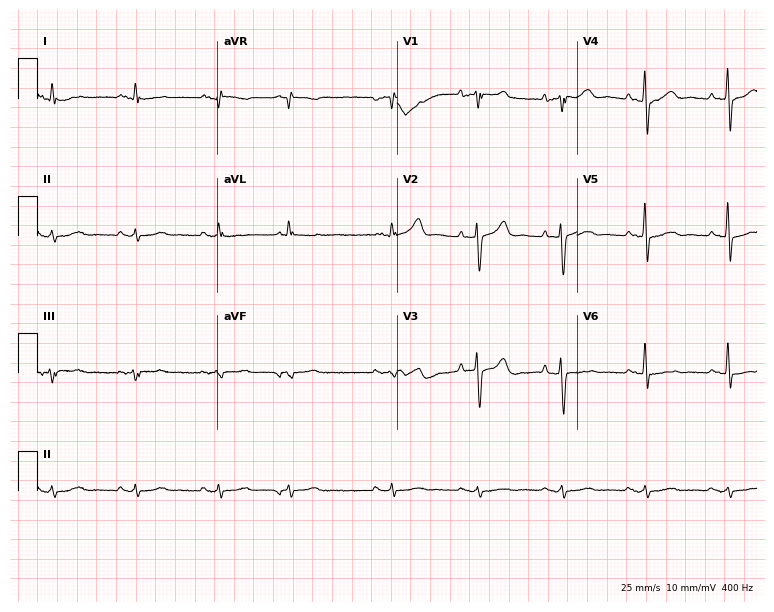
12-lead ECG from a 69-year-old male patient. Screened for six findings — first-degree AV block, right bundle branch block, left bundle branch block, sinus bradycardia, atrial fibrillation, sinus tachycardia — none is recorded.